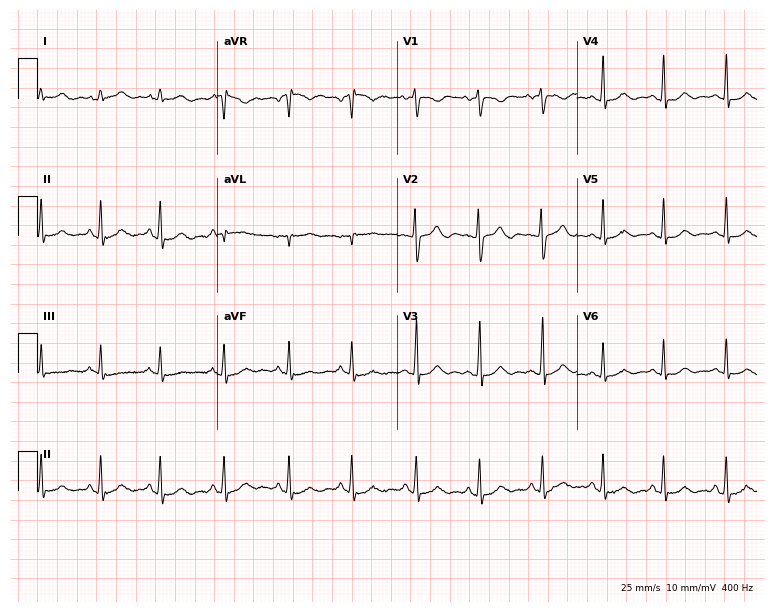
ECG — a 19-year-old female patient. Labelled as a normal ECG.